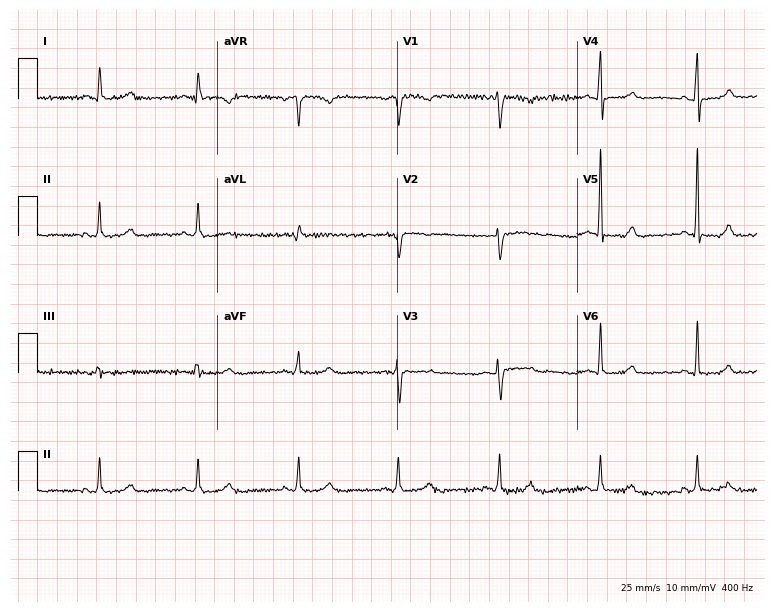
Standard 12-lead ECG recorded from a woman, 60 years old (7.3-second recording at 400 Hz). Read as a normal ECG.